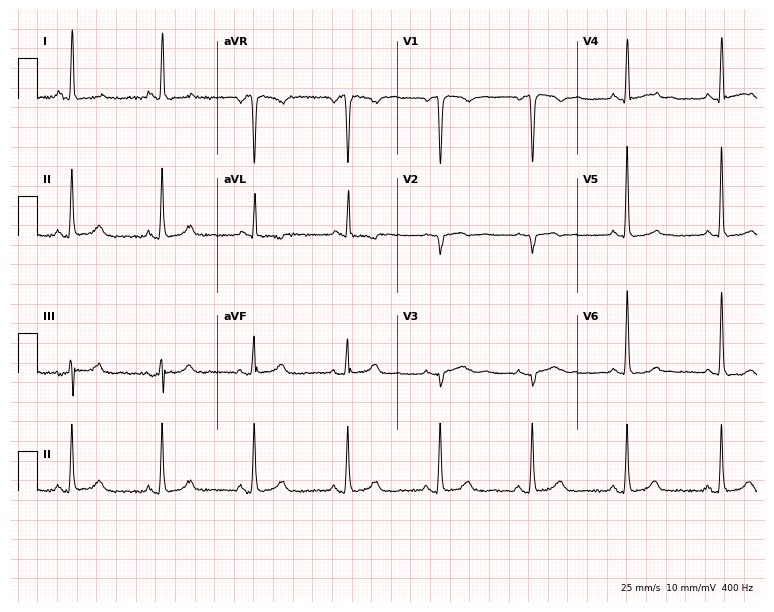
Standard 12-lead ECG recorded from a woman, 71 years old. Read as a normal ECG.